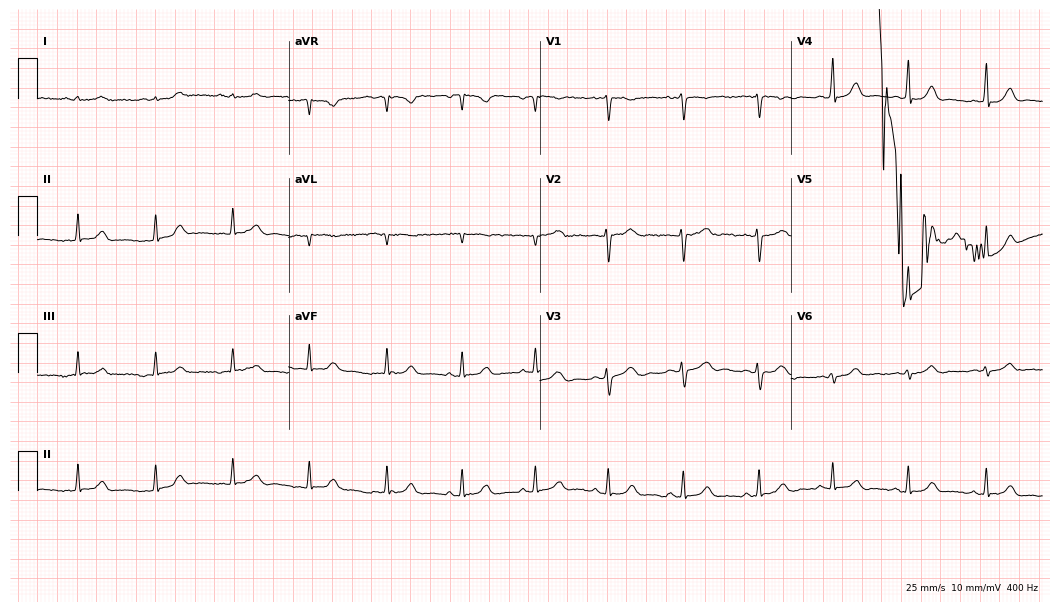
Standard 12-lead ECG recorded from a woman, 34 years old. None of these six findings is recorded: first-degree AV block, right bundle branch block, left bundle branch block, sinus bradycardia, atrial fibrillation, sinus tachycardia.